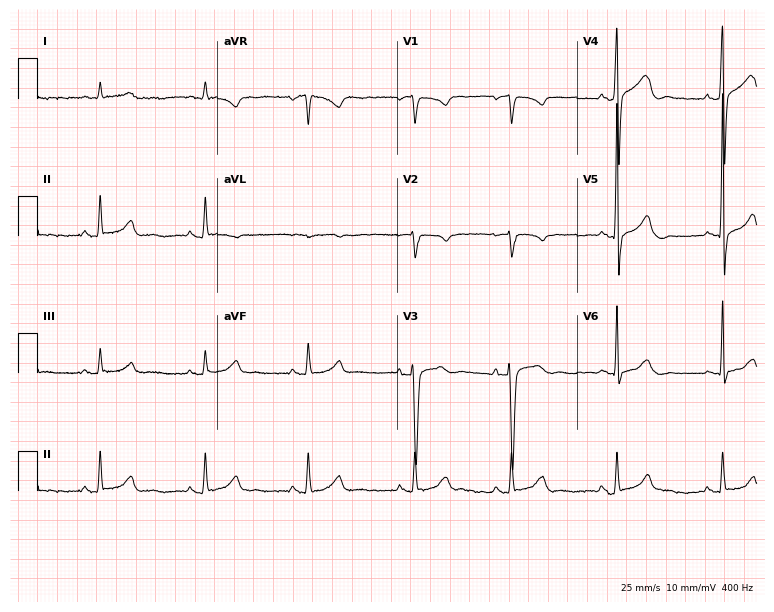
12-lead ECG (7.3-second recording at 400 Hz) from a 42-year-old male patient. Labelled as a normal ECG.